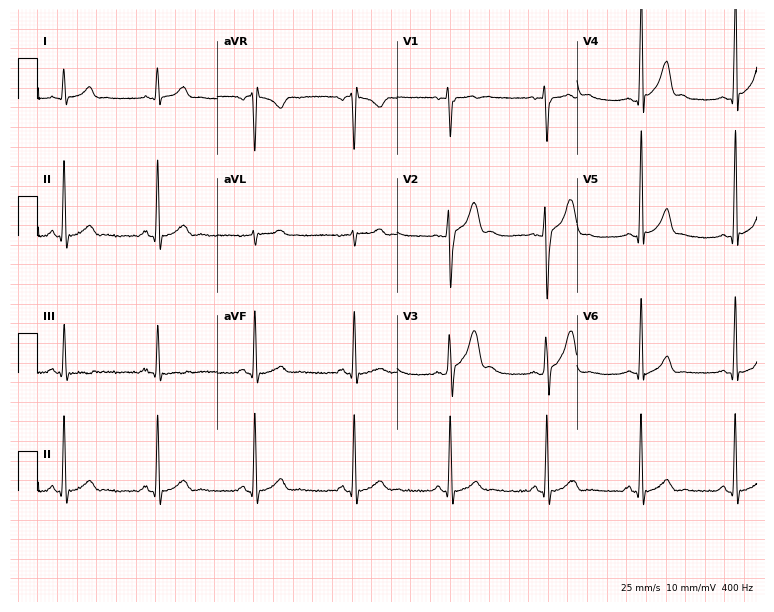
12-lead ECG from a 23-year-old male (7.3-second recording at 400 Hz). Recorded interpretation: within normal limits.